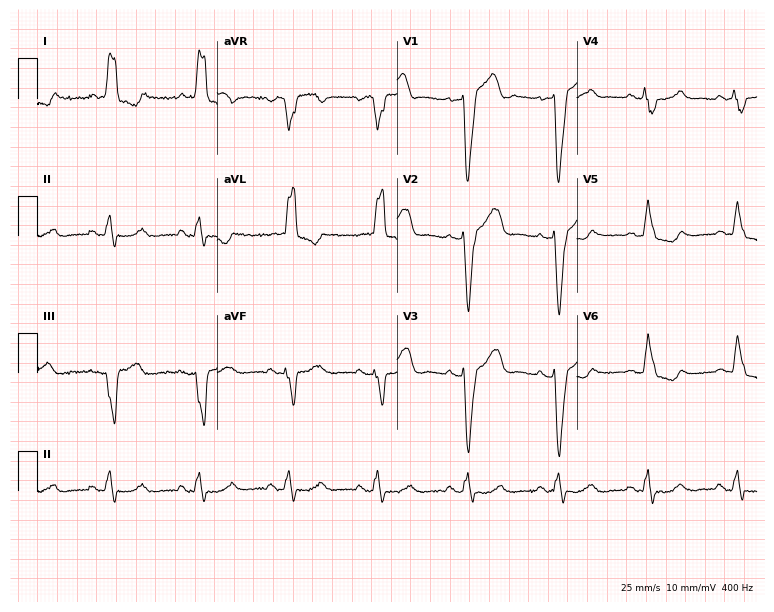
12-lead ECG (7.3-second recording at 400 Hz) from a female, 68 years old. Findings include left bundle branch block.